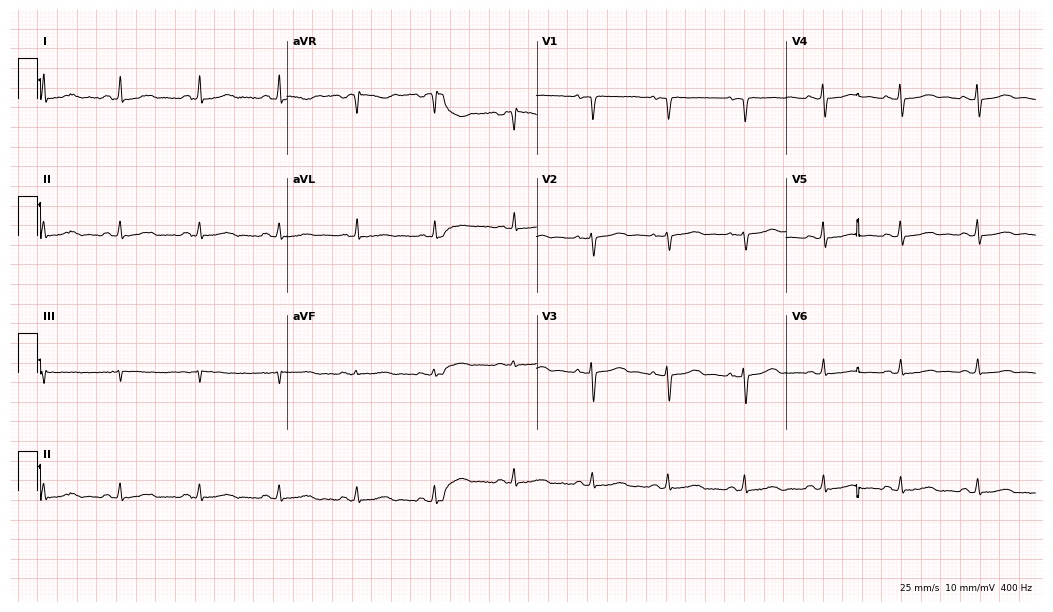
Electrocardiogram (10.2-second recording at 400 Hz), a female, 40 years old. Overall reading on record: normal ECG.